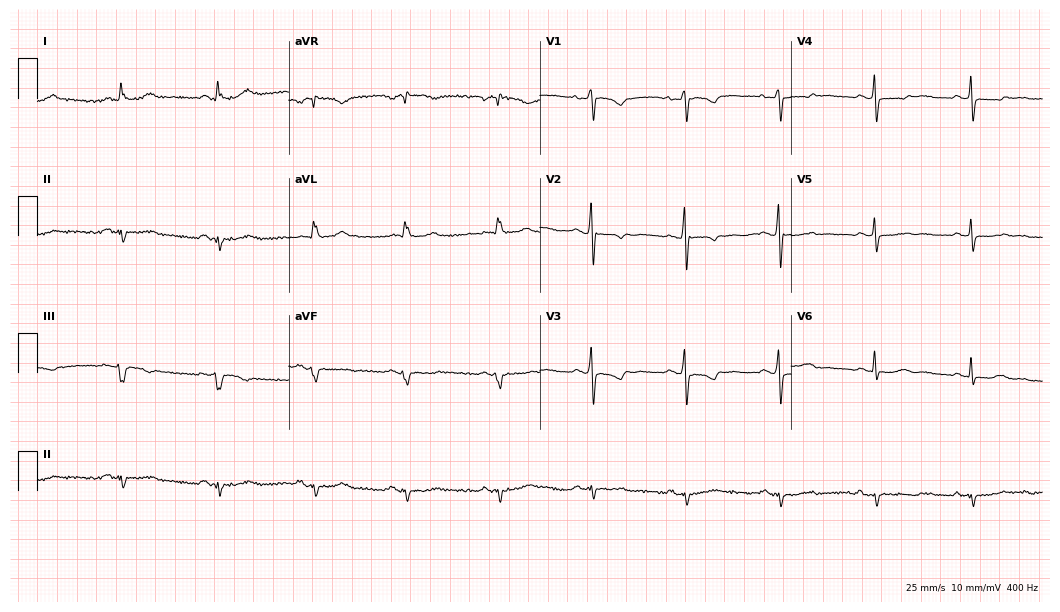
Resting 12-lead electrocardiogram (10.2-second recording at 400 Hz). Patient: a 68-year-old male. None of these six findings is recorded: first-degree AV block, right bundle branch block, left bundle branch block, sinus bradycardia, atrial fibrillation, sinus tachycardia.